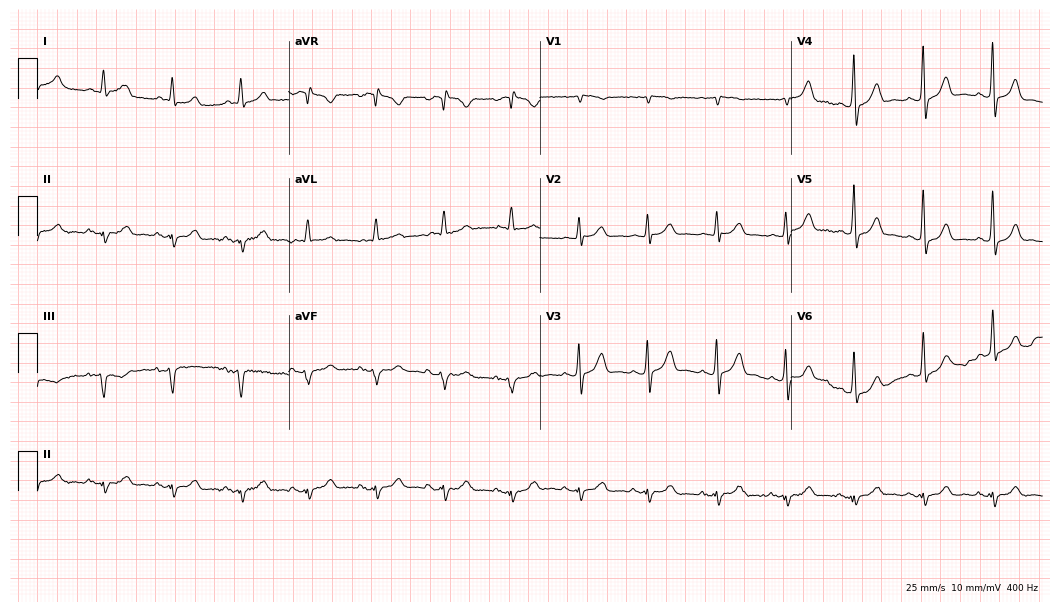
12-lead ECG from a man, 70 years old (10.2-second recording at 400 Hz). No first-degree AV block, right bundle branch block, left bundle branch block, sinus bradycardia, atrial fibrillation or sinus tachycardia recorded for this tracing.